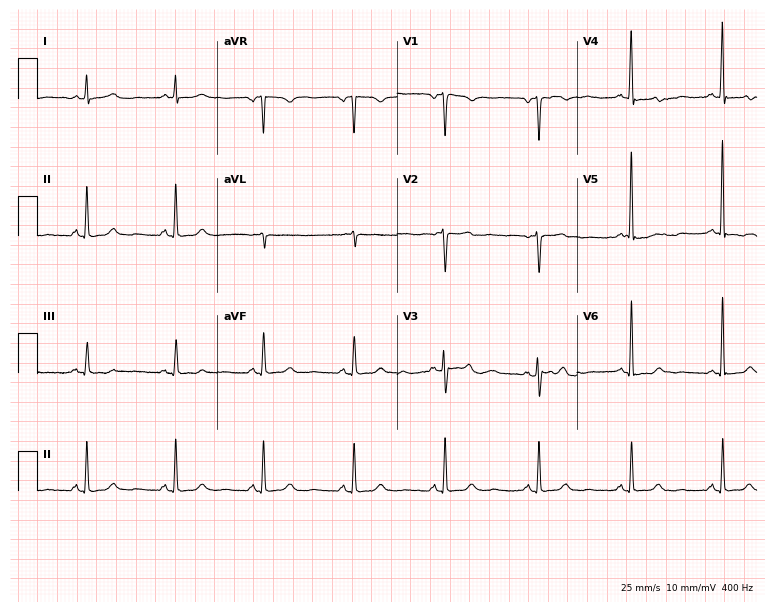
ECG — a female patient, 28 years old. Screened for six findings — first-degree AV block, right bundle branch block (RBBB), left bundle branch block (LBBB), sinus bradycardia, atrial fibrillation (AF), sinus tachycardia — none is recorded. Only these six findings were labelled.